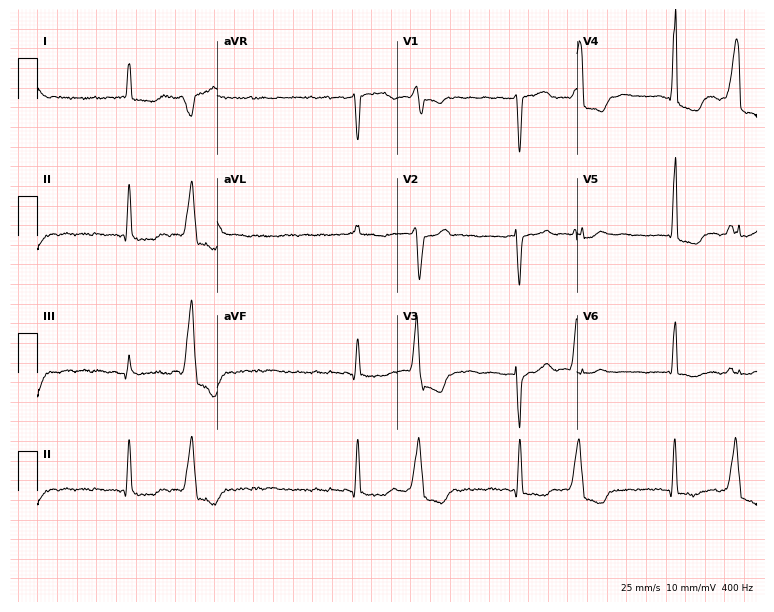
12-lead ECG from a female patient, 68 years old. Findings include atrial fibrillation.